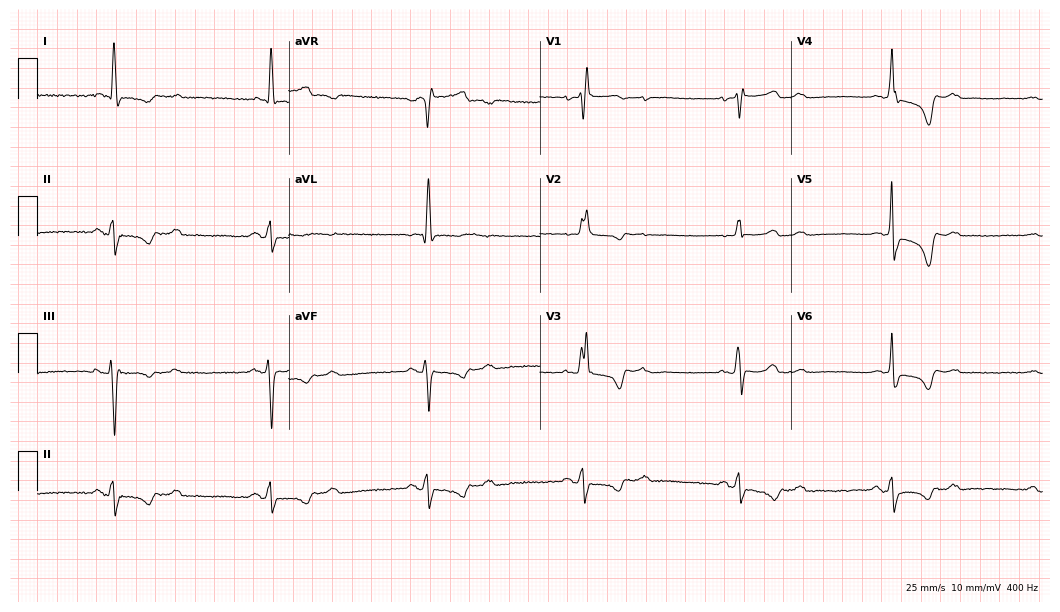
Standard 12-lead ECG recorded from a woman, 83 years old. The tracing shows right bundle branch block (RBBB), sinus bradycardia (a sinus rate of 50 beats per minute or less).